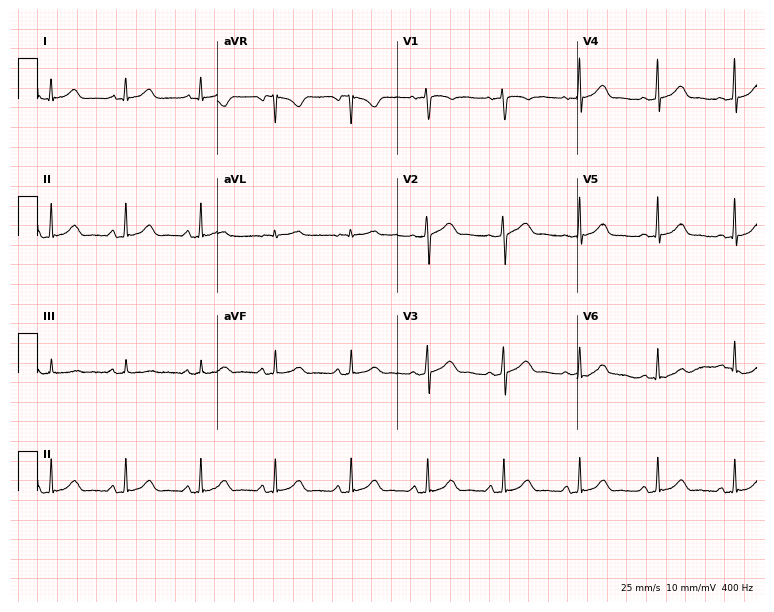
Standard 12-lead ECG recorded from a female patient, 36 years old (7.3-second recording at 400 Hz). None of these six findings is recorded: first-degree AV block, right bundle branch block, left bundle branch block, sinus bradycardia, atrial fibrillation, sinus tachycardia.